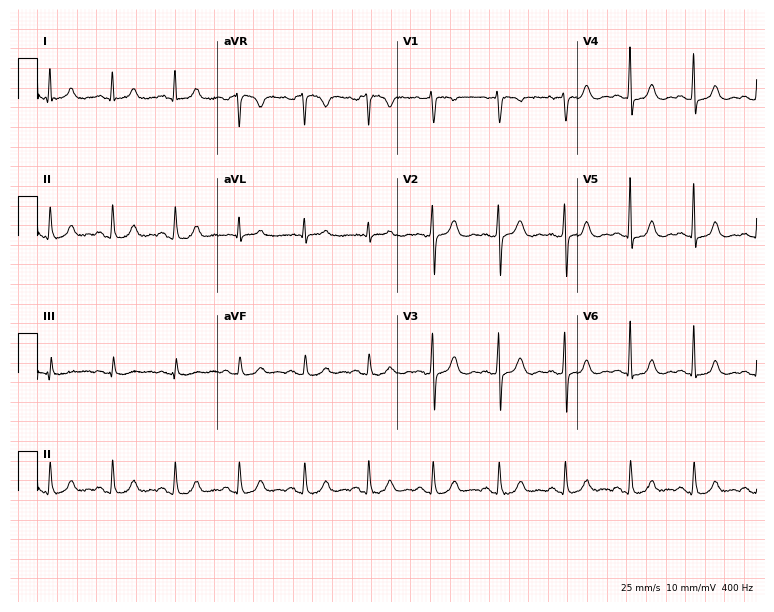
Standard 12-lead ECG recorded from a female patient, 46 years old. Read as a normal ECG.